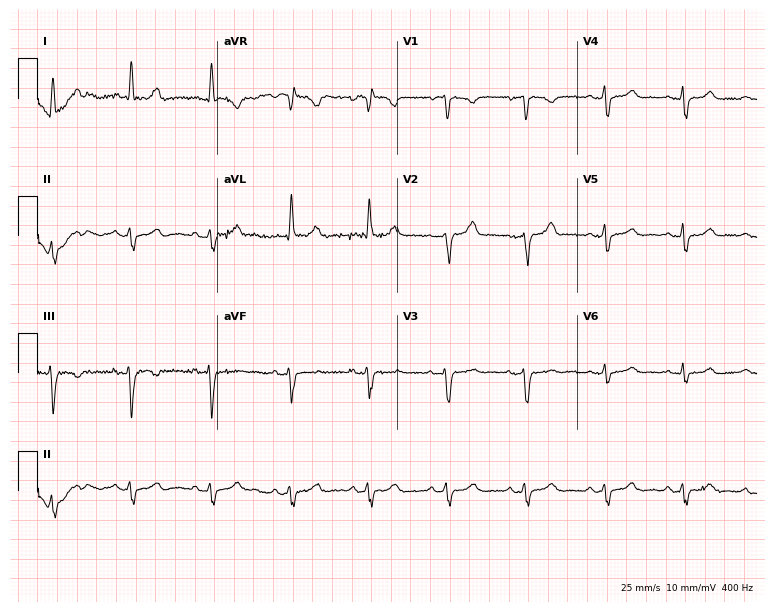
Standard 12-lead ECG recorded from an 83-year-old woman. None of these six findings is recorded: first-degree AV block, right bundle branch block (RBBB), left bundle branch block (LBBB), sinus bradycardia, atrial fibrillation (AF), sinus tachycardia.